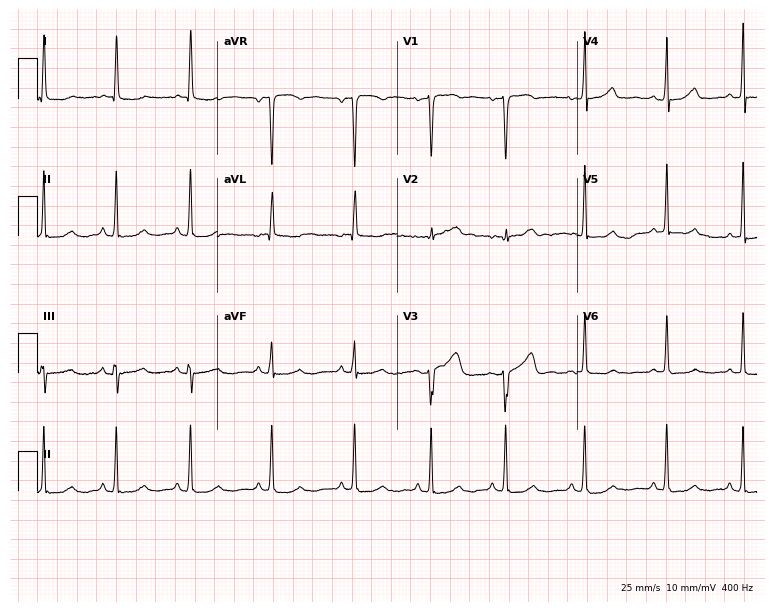
Standard 12-lead ECG recorded from a 38-year-old woman (7.3-second recording at 400 Hz). None of these six findings is recorded: first-degree AV block, right bundle branch block, left bundle branch block, sinus bradycardia, atrial fibrillation, sinus tachycardia.